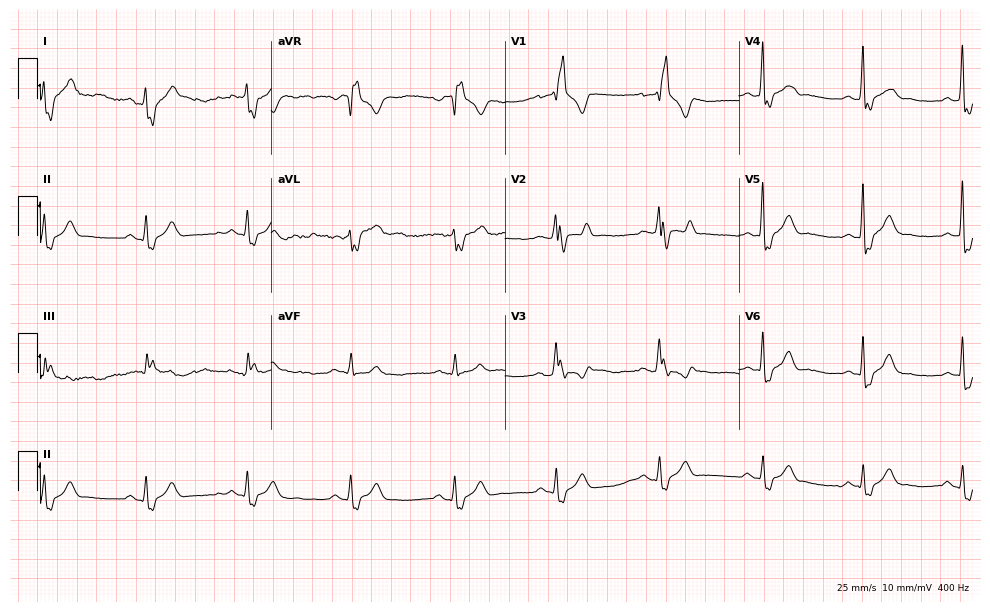
12-lead ECG from a man, 43 years old. No first-degree AV block, right bundle branch block (RBBB), left bundle branch block (LBBB), sinus bradycardia, atrial fibrillation (AF) or sinus tachycardia recorded for this tracing. Only these six findings were labelled.